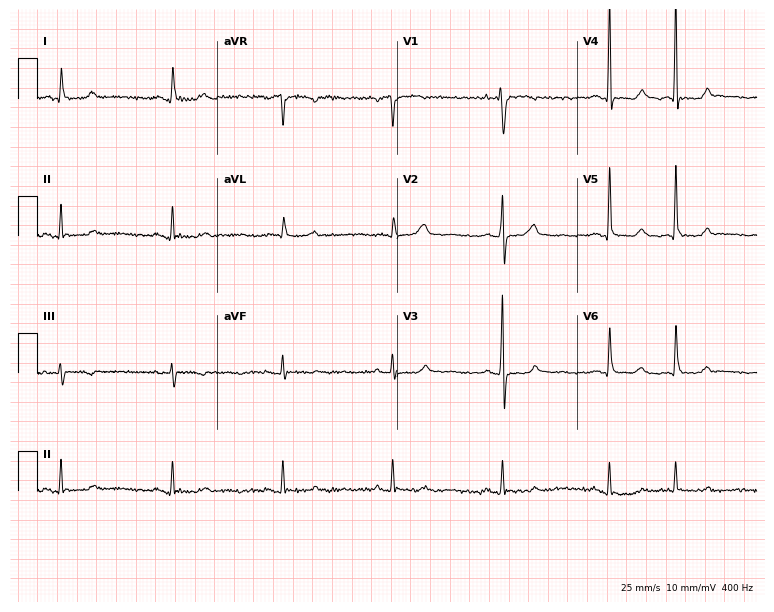
12-lead ECG from a 64-year-old female patient. Screened for six findings — first-degree AV block, right bundle branch block (RBBB), left bundle branch block (LBBB), sinus bradycardia, atrial fibrillation (AF), sinus tachycardia — none is recorded. Other findings, if any, are not listed.